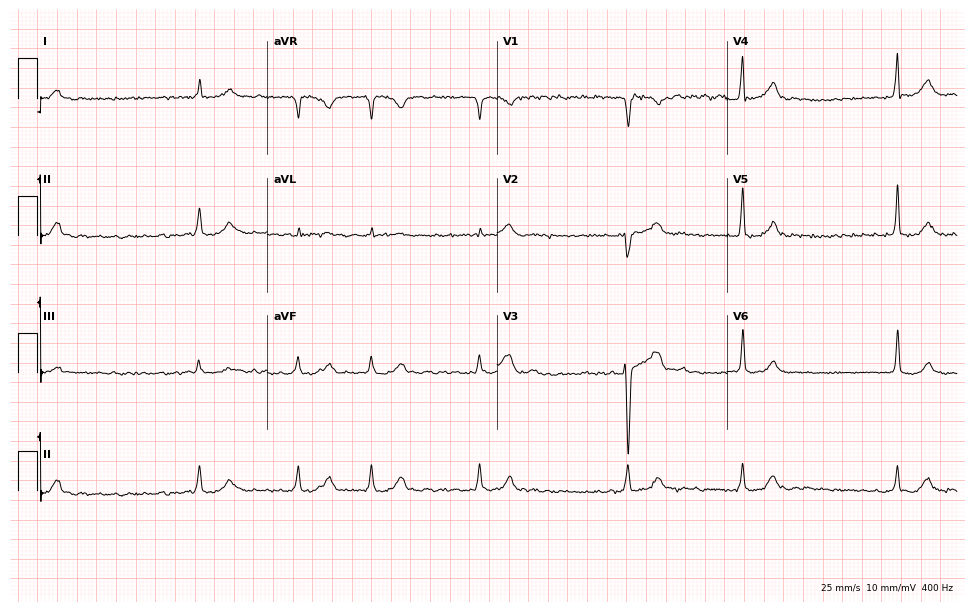
12-lead ECG from a 46-year-old man (9.4-second recording at 400 Hz). Shows atrial fibrillation.